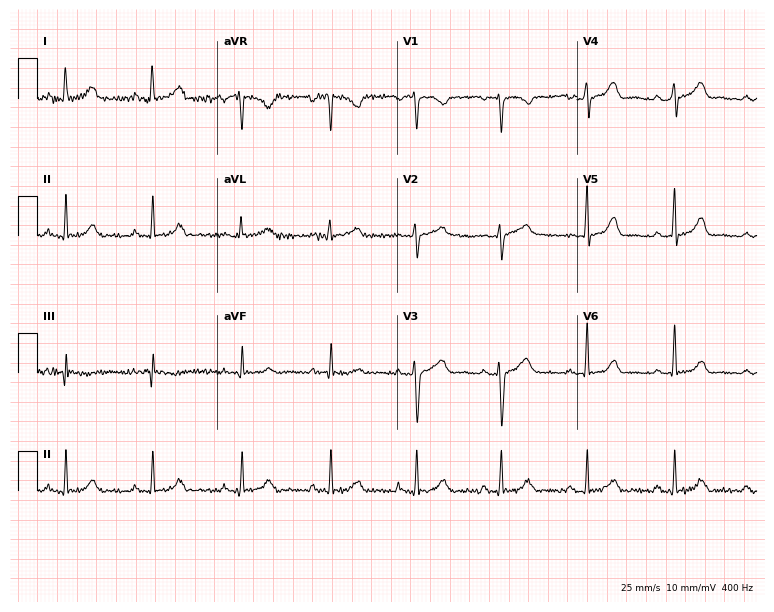
Electrocardiogram, a 43-year-old female. Overall reading on record: normal ECG.